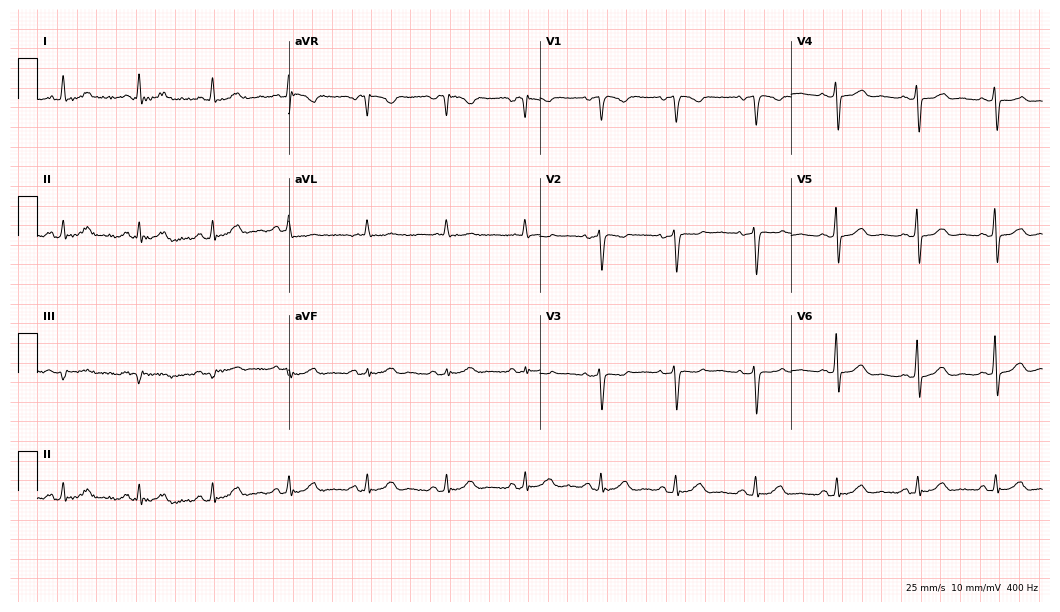
Standard 12-lead ECG recorded from a 62-year-old female patient. None of these six findings is recorded: first-degree AV block, right bundle branch block, left bundle branch block, sinus bradycardia, atrial fibrillation, sinus tachycardia. Findings outside these six are not listed.